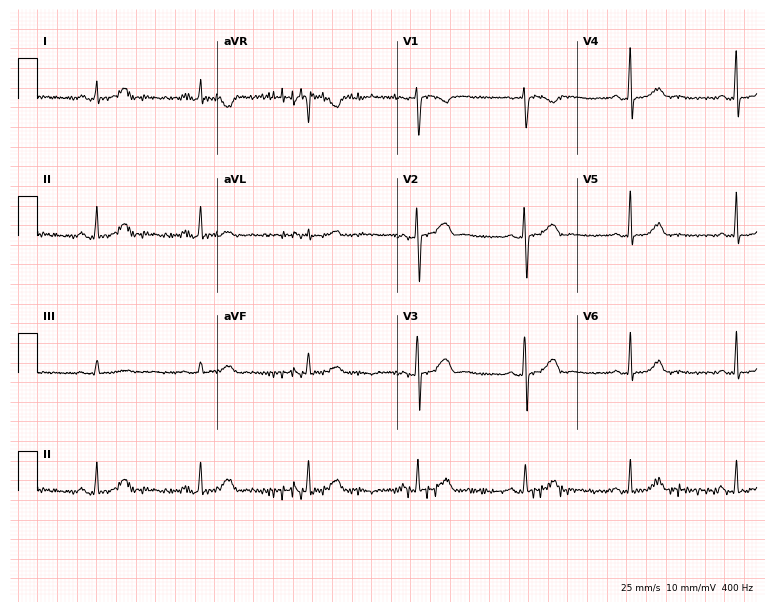
ECG (7.3-second recording at 400 Hz) — a female, 43 years old. Screened for six findings — first-degree AV block, right bundle branch block (RBBB), left bundle branch block (LBBB), sinus bradycardia, atrial fibrillation (AF), sinus tachycardia — none is recorded. Findings outside these six are not listed.